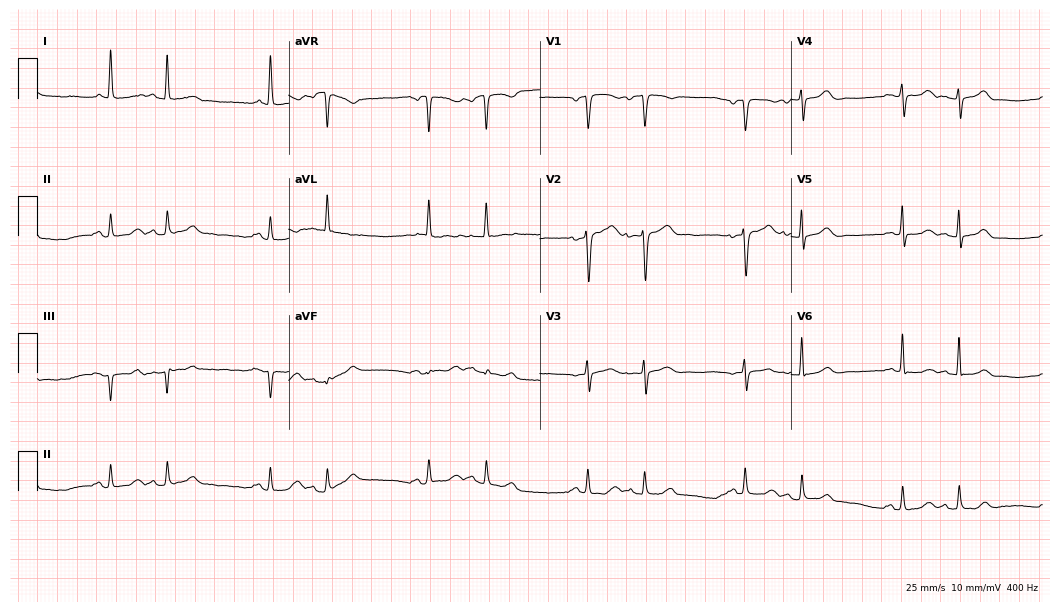
Resting 12-lead electrocardiogram (10.2-second recording at 400 Hz). Patient: a female, 82 years old. None of these six findings is recorded: first-degree AV block, right bundle branch block, left bundle branch block, sinus bradycardia, atrial fibrillation, sinus tachycardia.